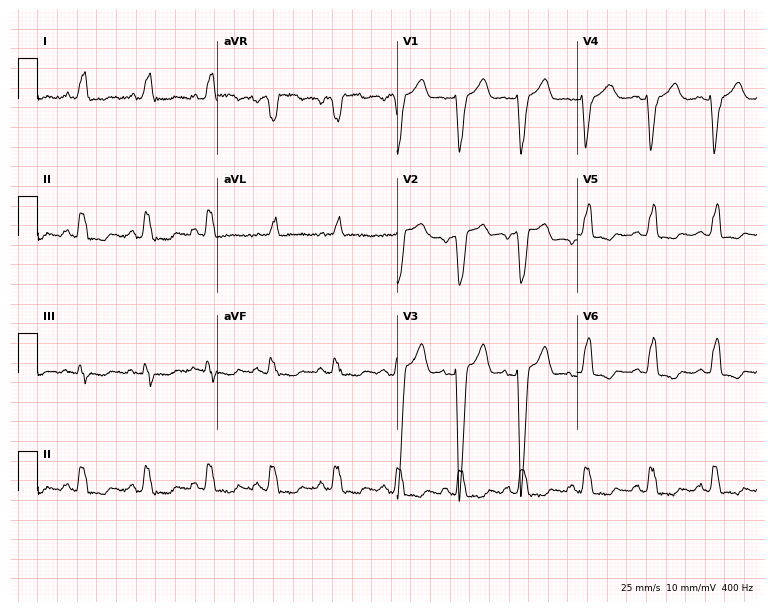
12-lead ECG (7.3-second recording at 400 Hz) from a female patient, 49 years old. Findings include left bundle branch block (LBBB).